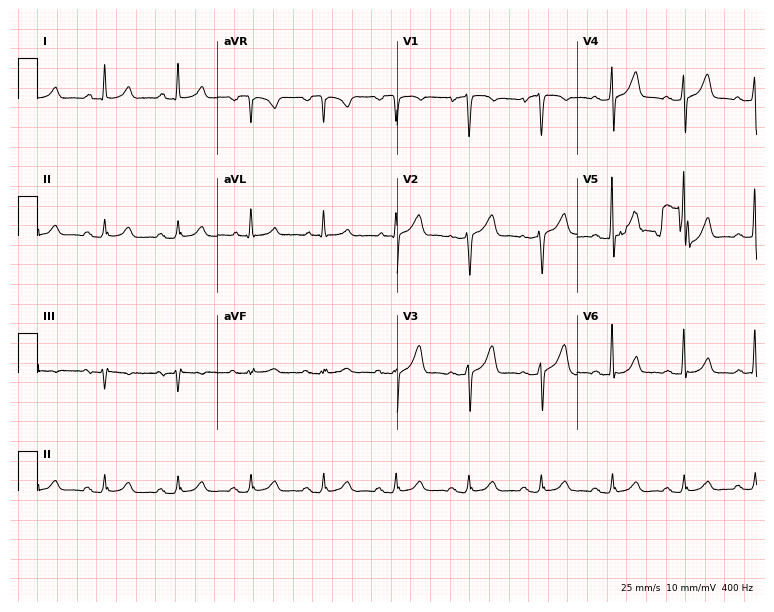
Electrocardiogram, a 49-year-old woman. Of the six screened findings (first-degree AV block, right bundle branch block (RBBB), left bundle branch block (LBBB), sinus bradycardia, atrial fibrillation (AF), sinus tachycardia), none is recorded.